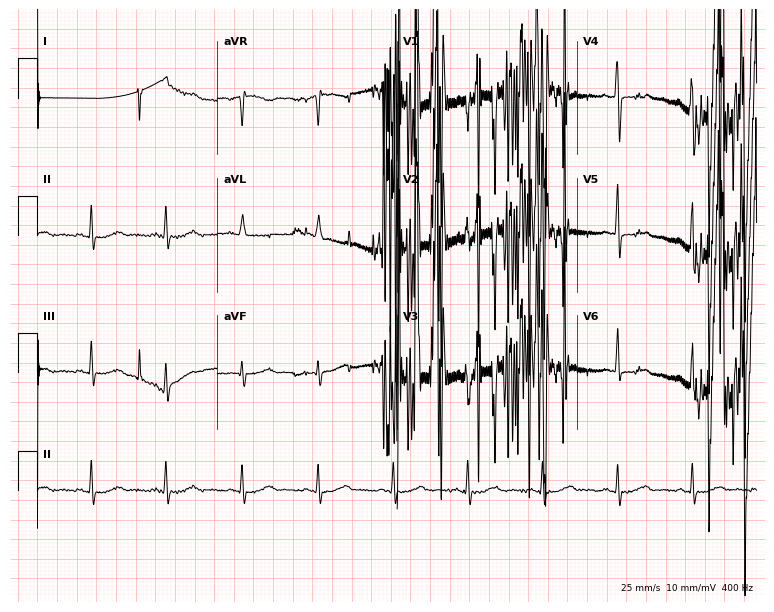
12-lead ECG (7.3-second recording at 400 Hz) from a 70-year-old female. Screened for six findings — first-degree AV block, right bundle branch block, left bundle branch block, sinus bradycardia, atrial fibrillation, sinus tachycardia — none is recorded. Only these six findings were labelled.